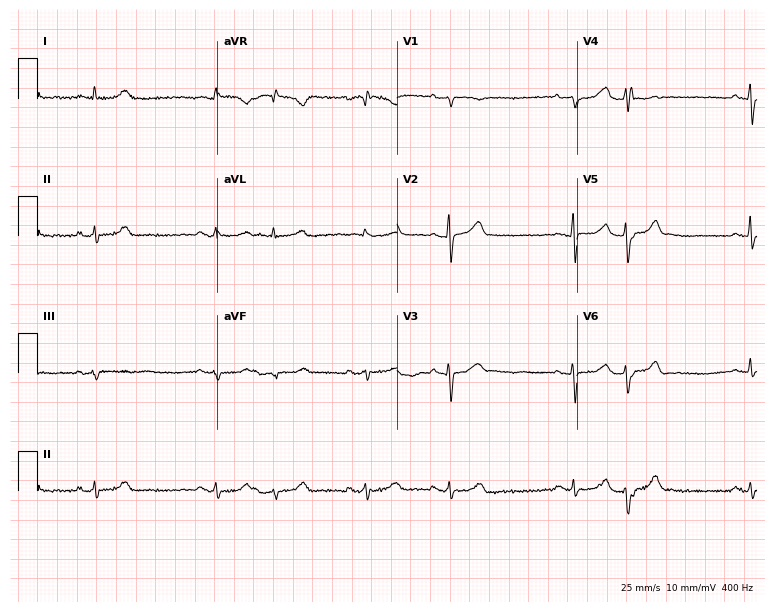
12-lead ECG from a 76-year-old female patient. Screened for six findings — first-degree AV block, right bundle branch block, left bundle branch block, sinus bradycardia, atrial fibrillation, sinus tachycardia — none is recorded.